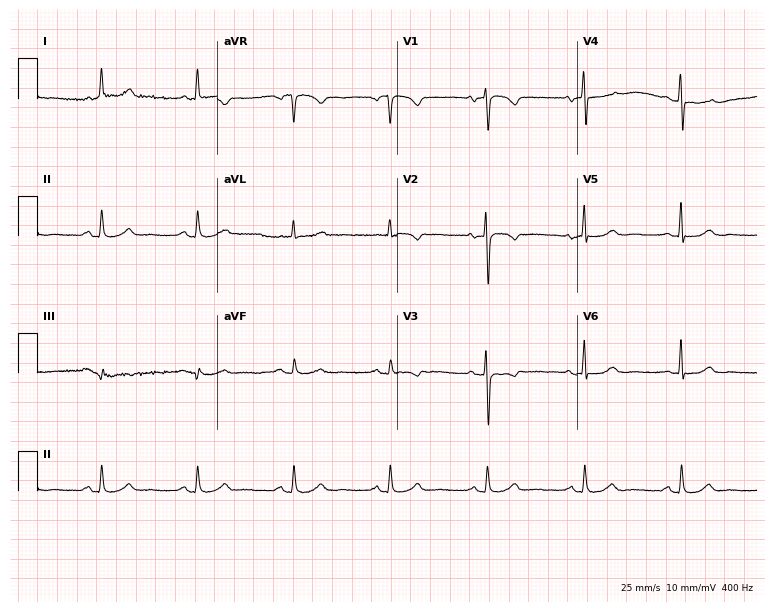
12-lead ECG (7.3-second recording at 400 Hz) from a 68-year-old female patient. Screened for six findings — first-degree AV block, right bundle branch block (RBBB), left bundle branch block (LBBB), sinus bradycardia, atrial fibrillation (AF), sinus tachycardia — none is recorded. Only these six findings were labelled.